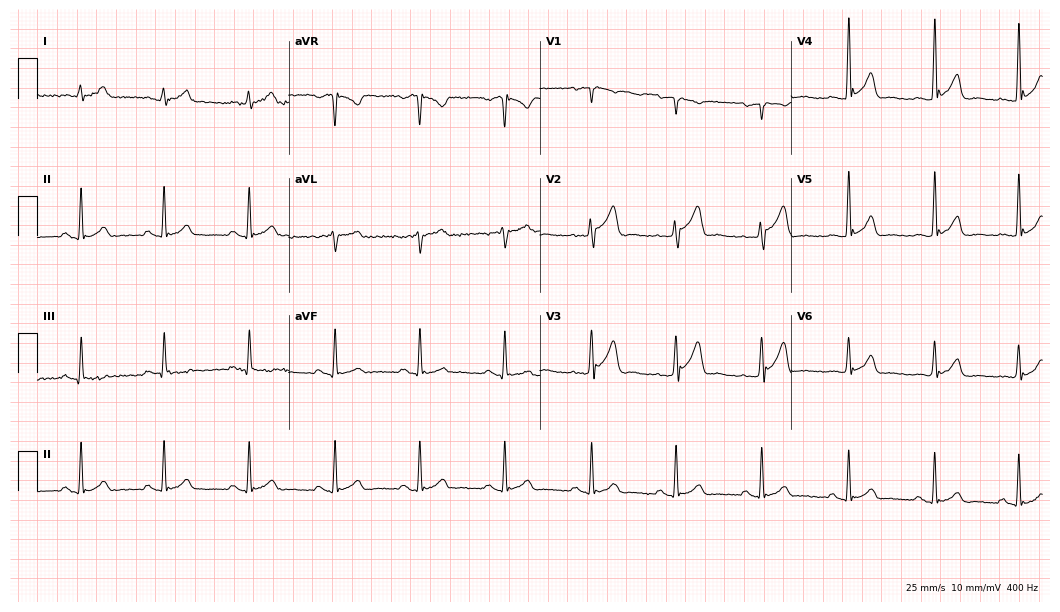
12-lead ECG (10.2-second recording at 400 Hz) from a 48-year-old man. Screened for six findings — first-degree AV block, right bundle branch block, left bundle branch block, sinus bradycardia, atrial fibrillation, sinus tachycardia — none is recorded.